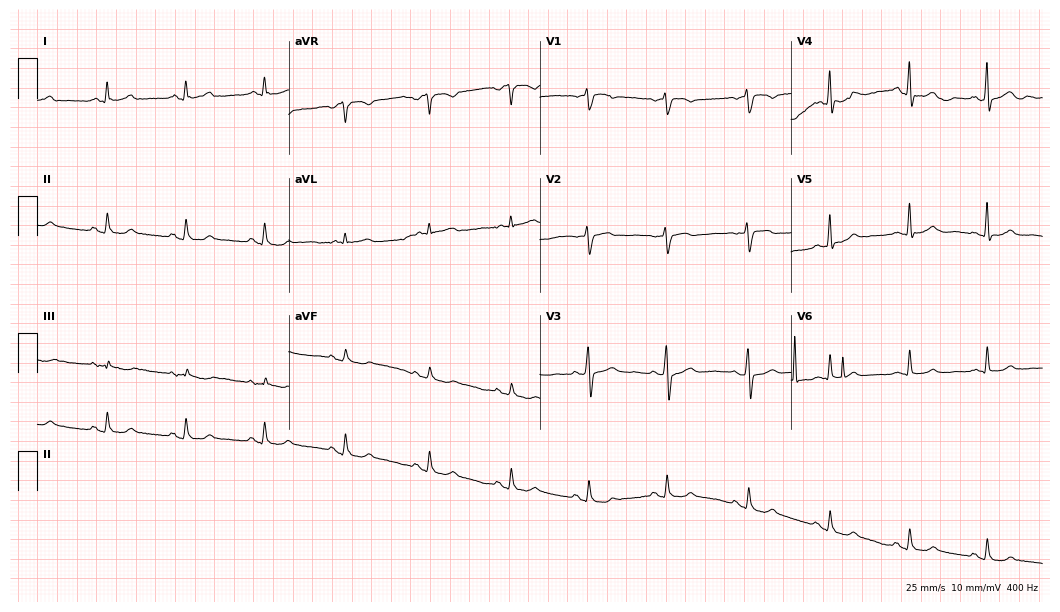
Standard 12-lead ECG recorded from a female patient, 48 years old. Read as a normal ECG.